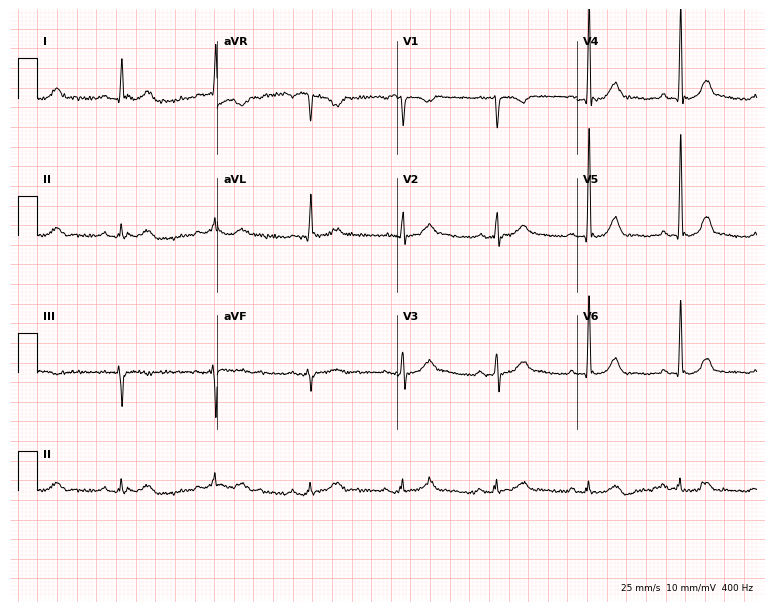
Resting 12-lead electrocardiogram. Patient: a 52-year-old male. Read as a normal ECG.